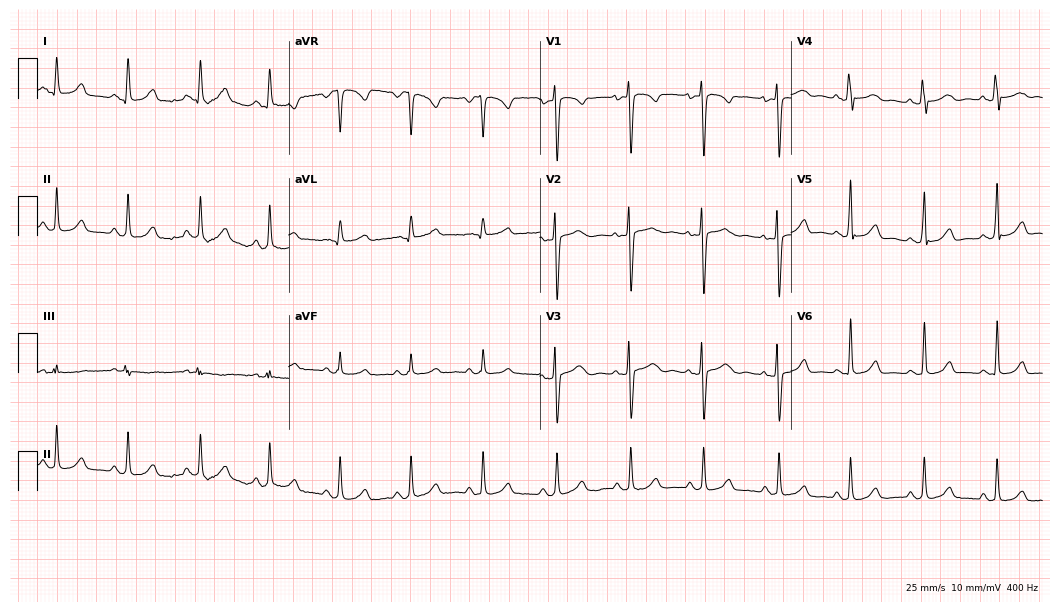
12-lead ECG from a female patient, 27 years old. Labelled as a normal ECG.